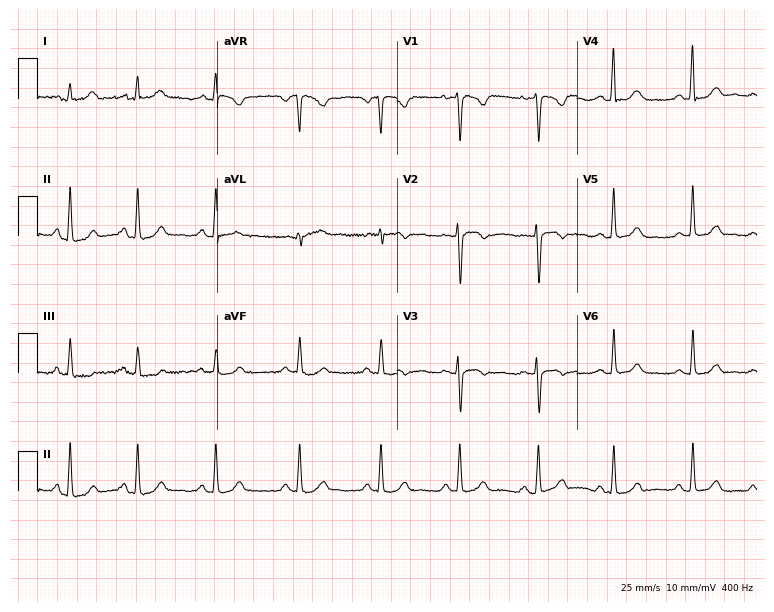
12-lead ECG from a female patient, 32 years old (7.3-second recording at 400 Hz). Recorded interpretation: within normal limits.